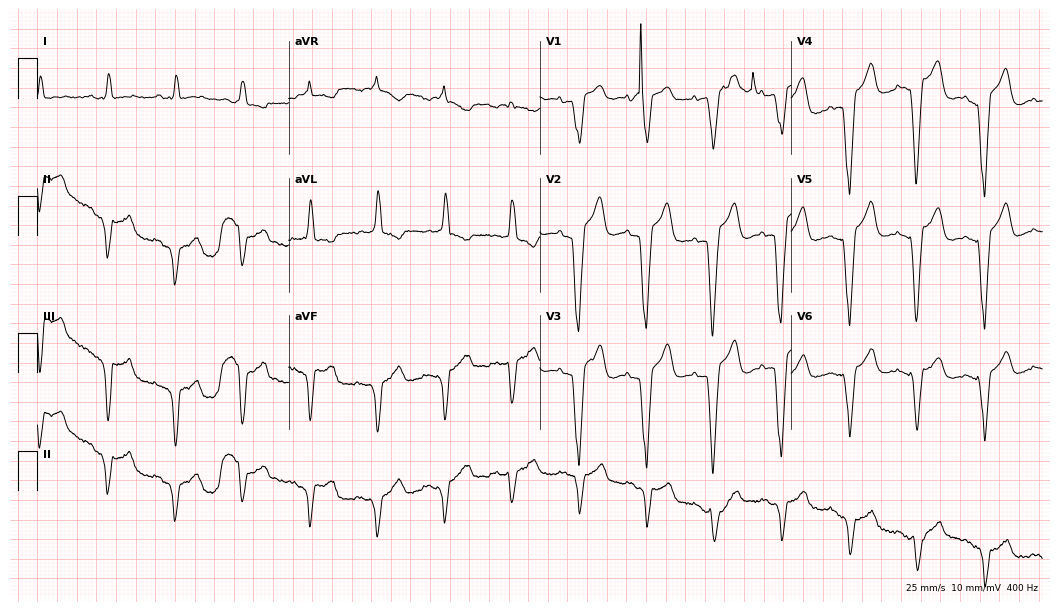
Electrocardiogram, an 85-year-old female patient. Of the six screened findings (first-degree AV block, right bundle branch block, left bundle branch block, sinus bradycardia, atrial fibrillation, sinus tachycardia), none is recorded. Only these six findings were labelled.